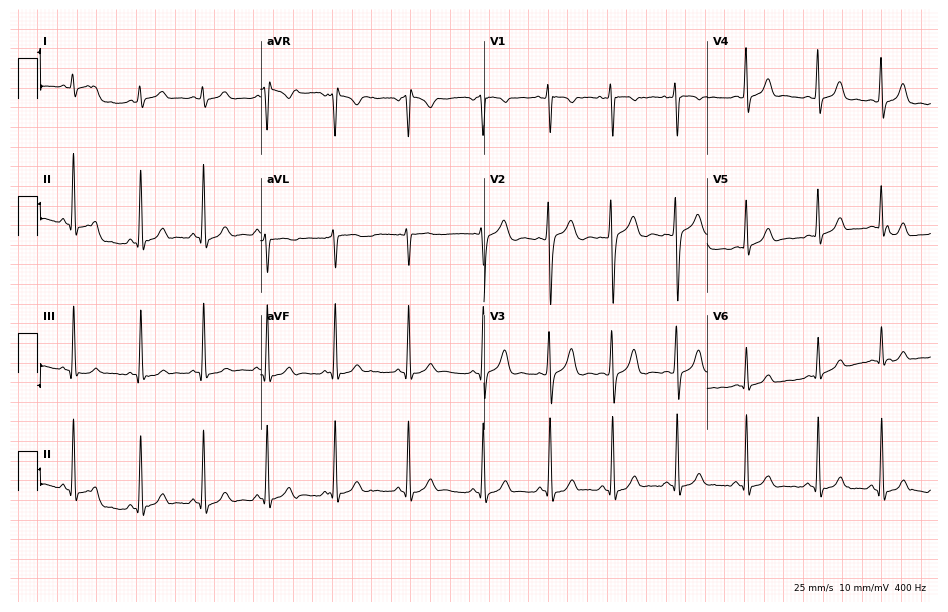
Standard 12-lead ECG recorded from a 20-year-old female (9.1-second recording at 400 Hz). Read as a normal ECG.